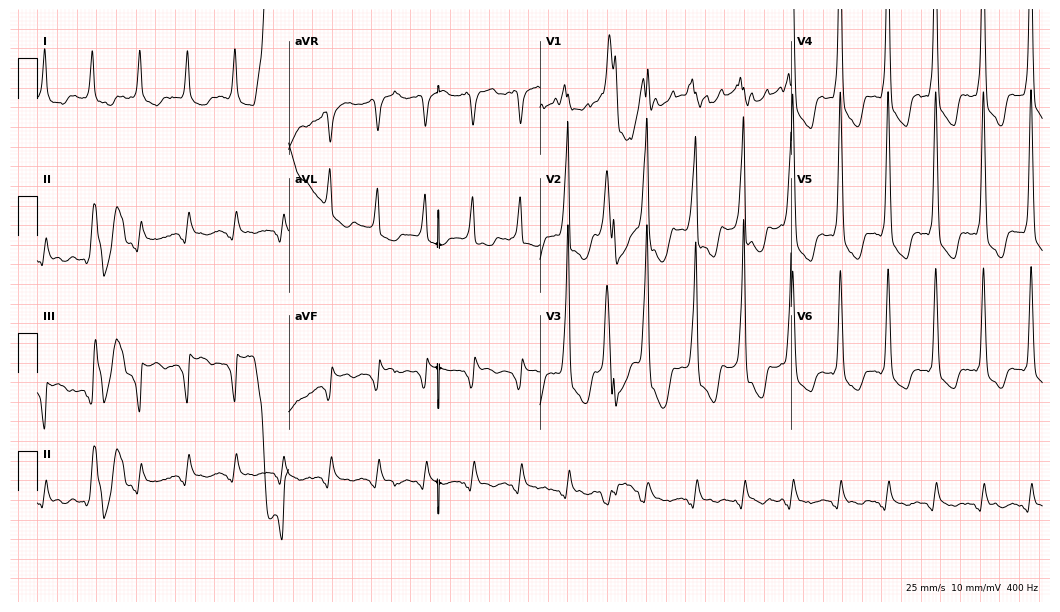
12-lead ECG from a male, 72 years old (10.2-second recording at 400 Hz). Shows atrial fibrillation (AF).